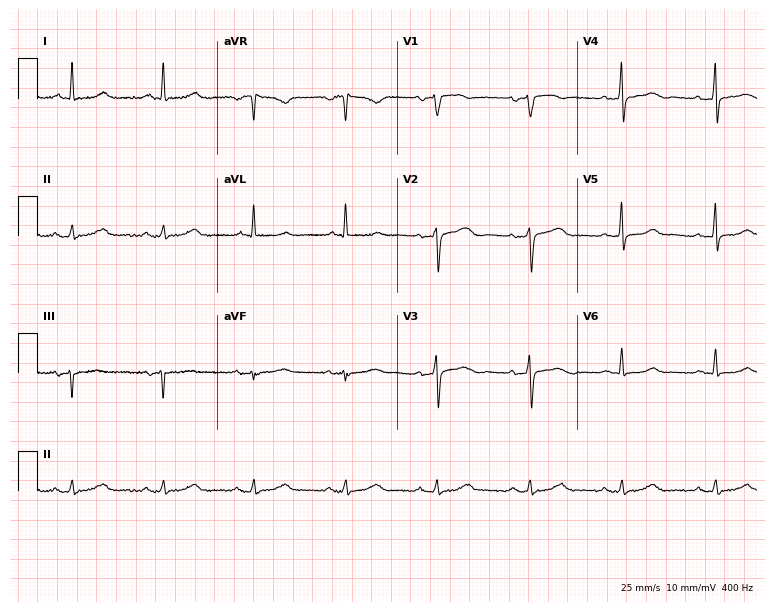
Resting 12-lead electrocardiogram (7.3-second recording at 400 Hz). Patient: a female, 71 years old. None of these six findings is recorded: first-degree AV block, right bundle branch block (RBBB), left bundle branch block (LBBB), sinus bradycardia, atrial fibrillation (AF), sinus tachycardia.